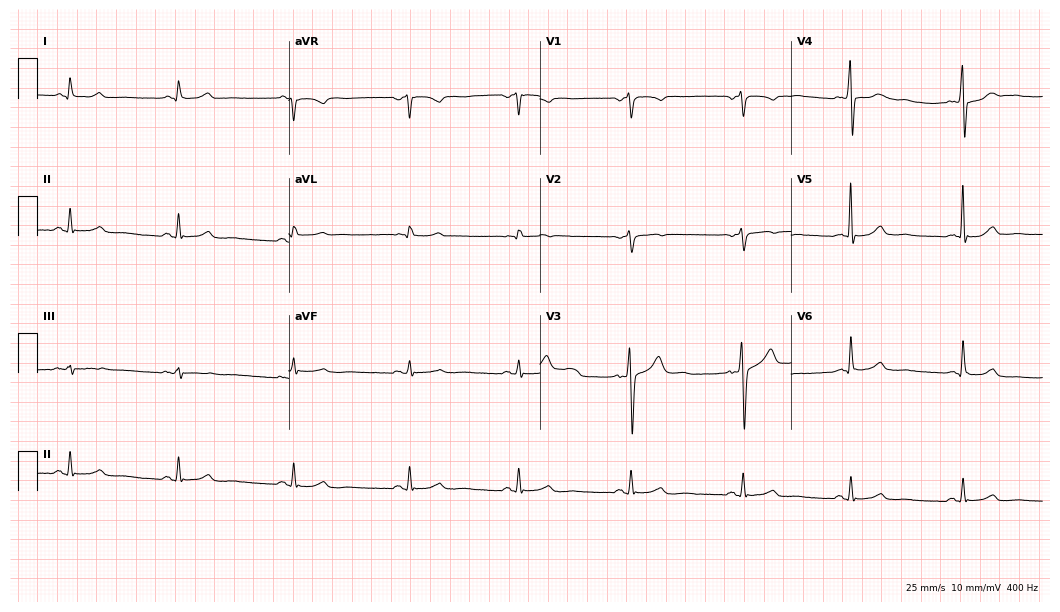
Standard 12-lead ECG recorded from a 55-year-old male (10.2-second recording at 400 Hz). Read as a normal ECG.